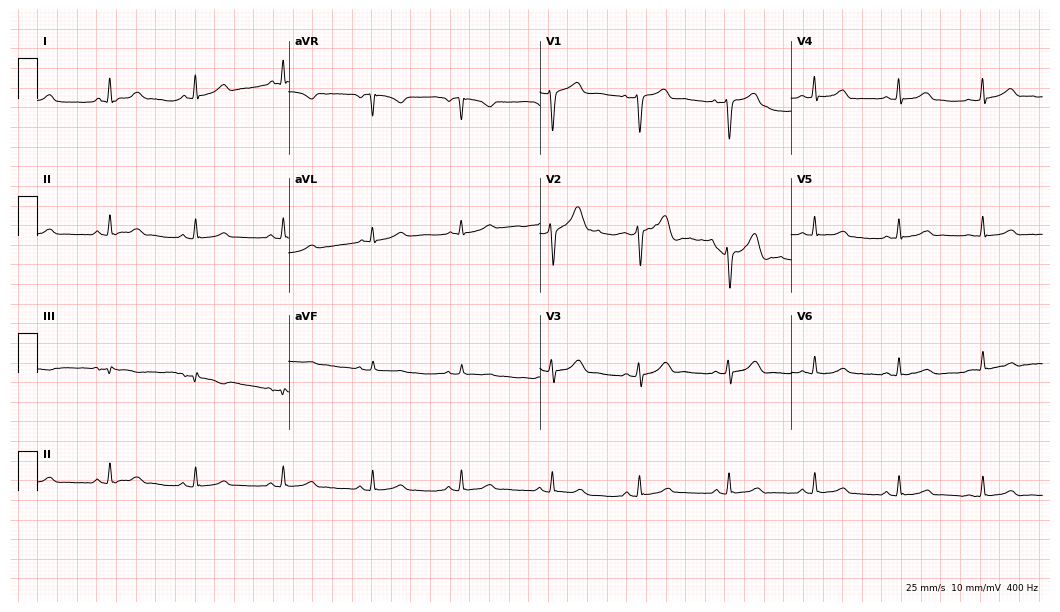
Resting 12-lead electrocardiogram. Patient: a 45-year-old male. Read as a normal ECG.